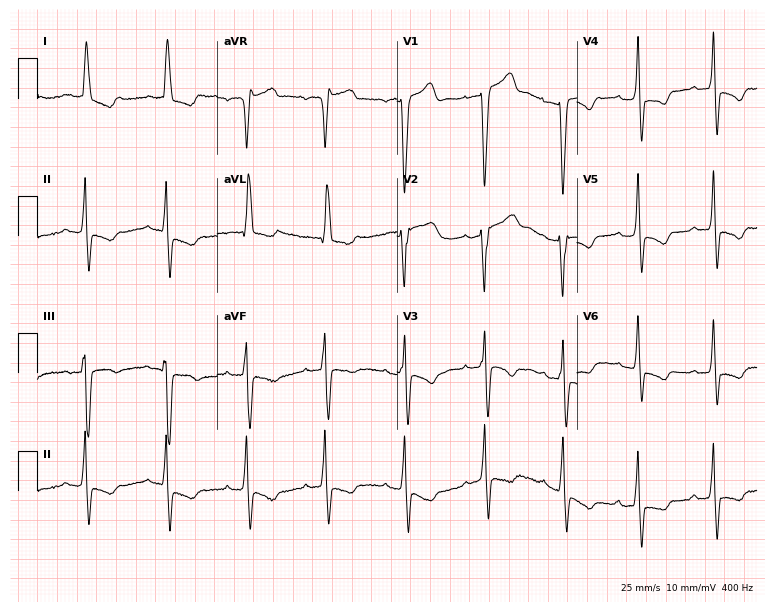
Resting 12-lead electrocardiogram. Patient: a female, 84 years old. None of these six findings is recorded: first-degree AV block, right bundle branch block, left bundle branch block, sinus bradycardia, atrial fibrillation, sinus tachycardia. Only these six findings were labelled.